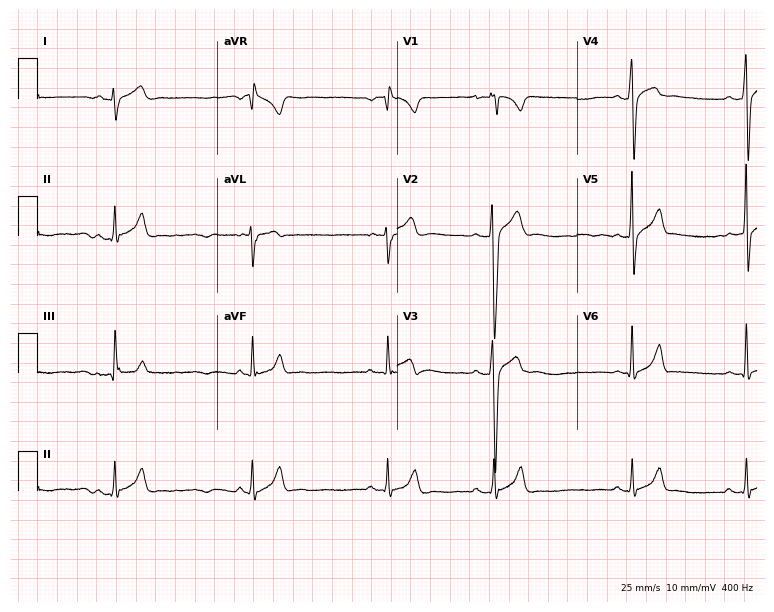
Resting 12-lead electrocardiogram (7.3-second recording at 400 Hz). Patient: a man, 19 years old. None of these six findings is recorded: first-degree AV block, right bundle branch block, left bundle branch block, sinus bradycardia, atrial fibrillation, sinus tachycardia.